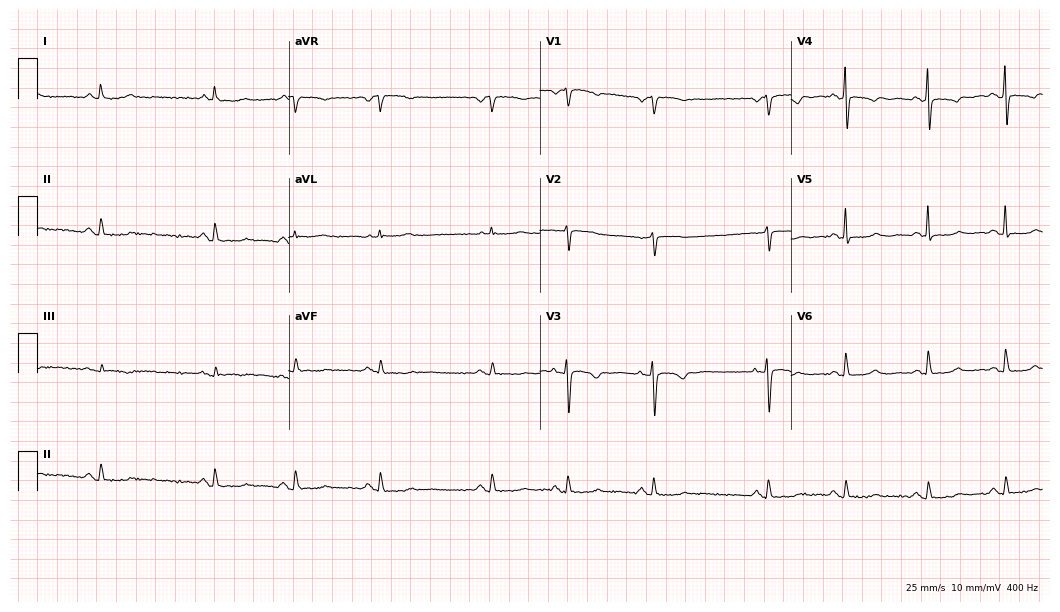
Electrocardiogram (10.2-second recording at 400 Hz), a female patient, 80 years old. Of the six screened findings (first-degree AV block, right bundle branch block (RBBB), left bundle branch block (LBBB), sinus bradycardia, atrial fibrillation (AF), sinus tachycardia), none is recorded.